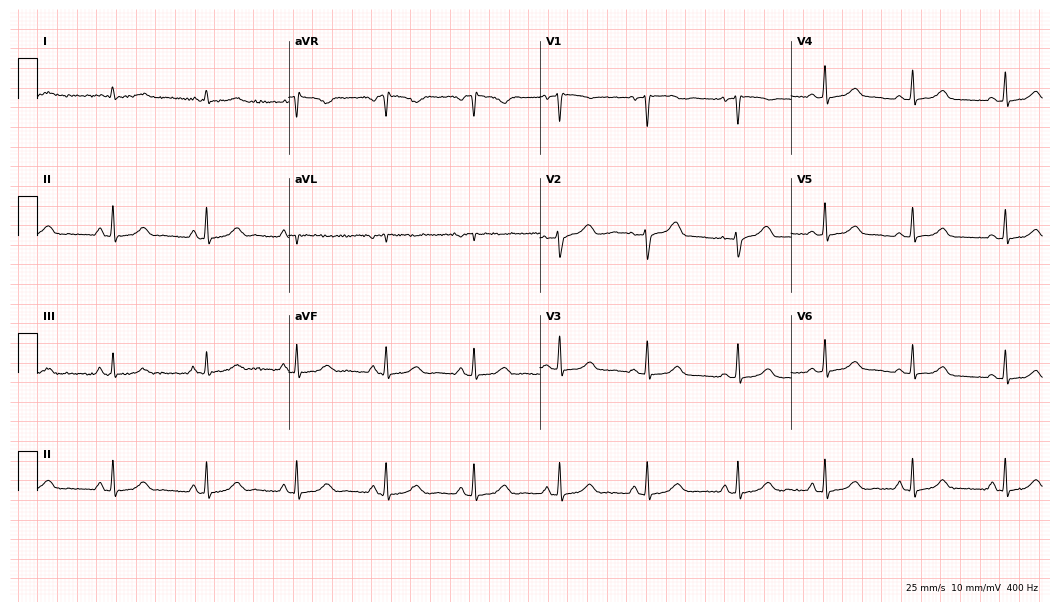
12-lead ECG from a female patient, 49 years old (10.2-second recording at 400 Hz). Recorded interpretation: within normal limits.